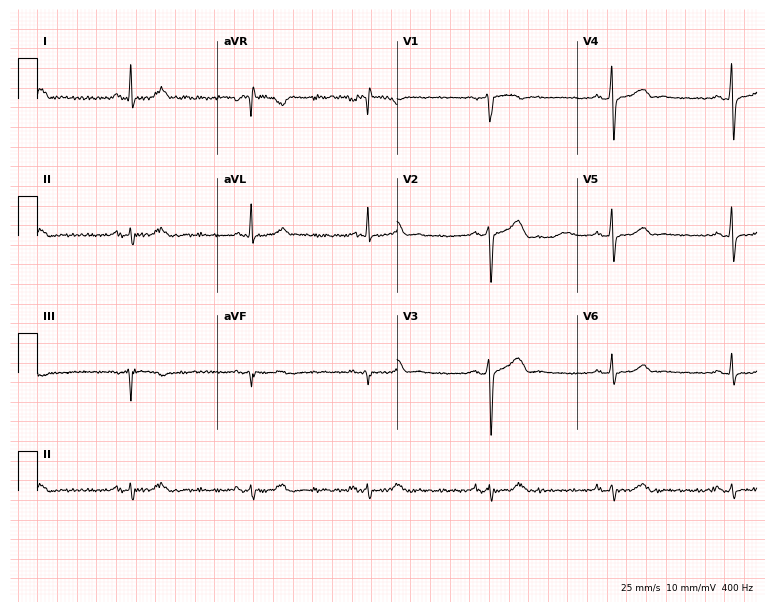
ECG (7.3-second recording at 400 Hz) — a 47-year-old man. Findings include sinus bradycardia (a sinus rate of 50 beats per minute or less).